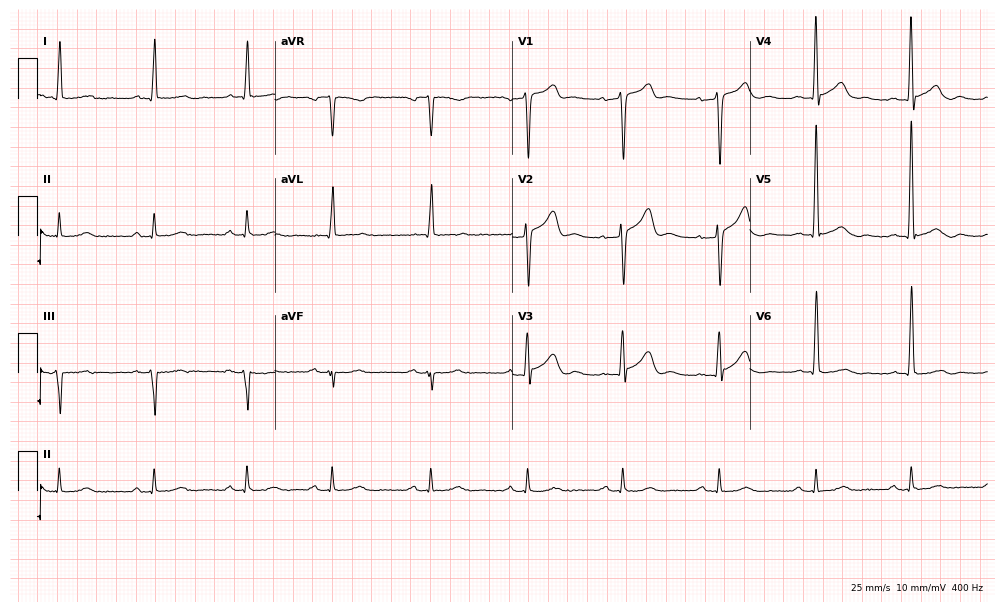
12-lead ECG from a 72-year-old male (9.7-second recording at 400 Hz). Recorded interpretation: within normal limits.